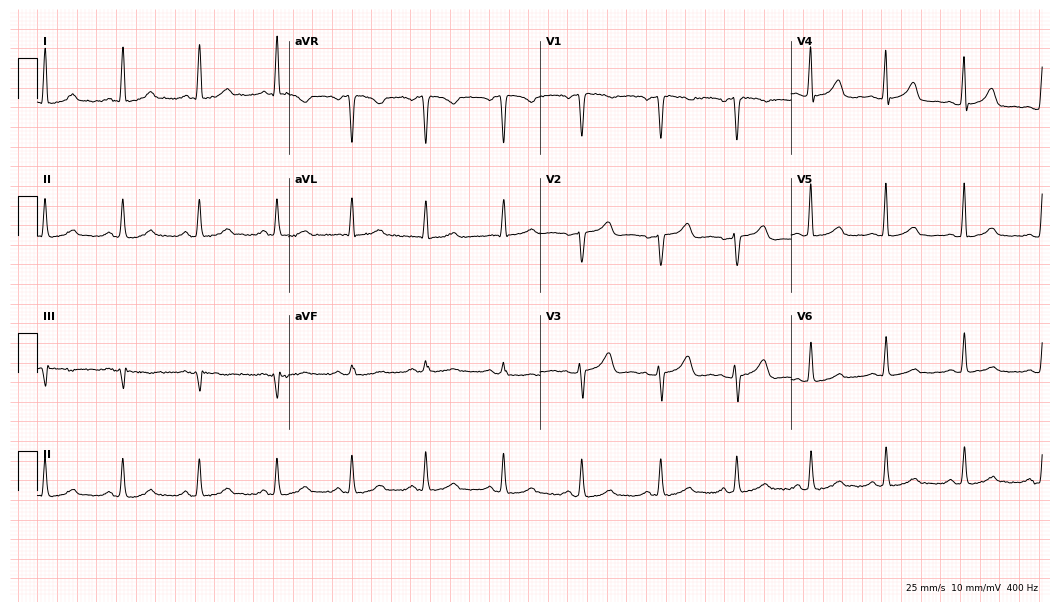
12-lead ECG from a woman, 53 years old (10.2-second recording at 400 Hz). Recorded interpretation: within normal limits.